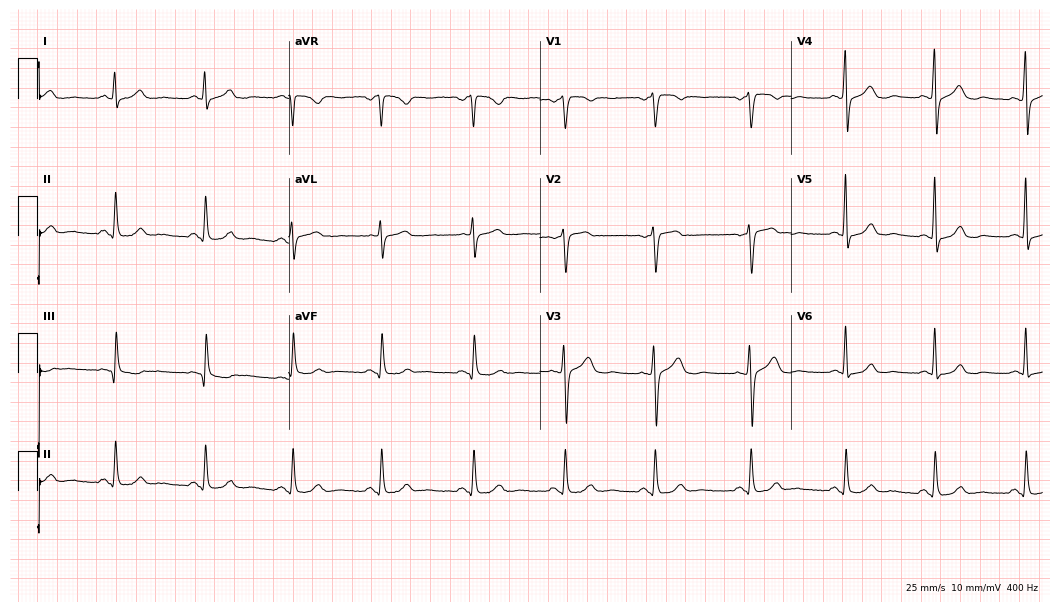
Resting 12-lead electrocardiogram (10.2-second recording at 400 Hz). Patient: a 47-year-old woman. None of these six findings is recorded: first-degree AV block, right bundle branch block, left bundle branch block, sinus bradycardia, atrial fibrillation, sinus tachycardia. Findings outside these six are not listed.